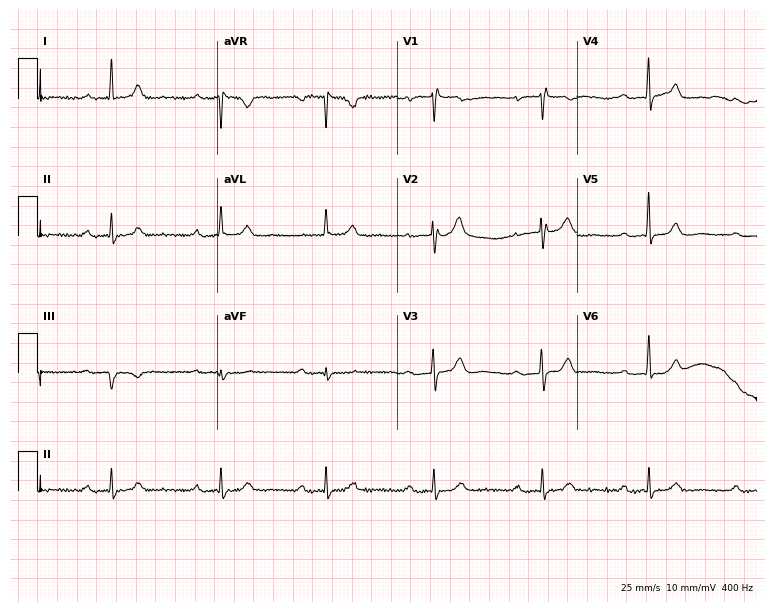
Electrocardiogram (7.3-second recording at 400 Hz), a female, 63 years old. Interpretation includes first-degree AV block.